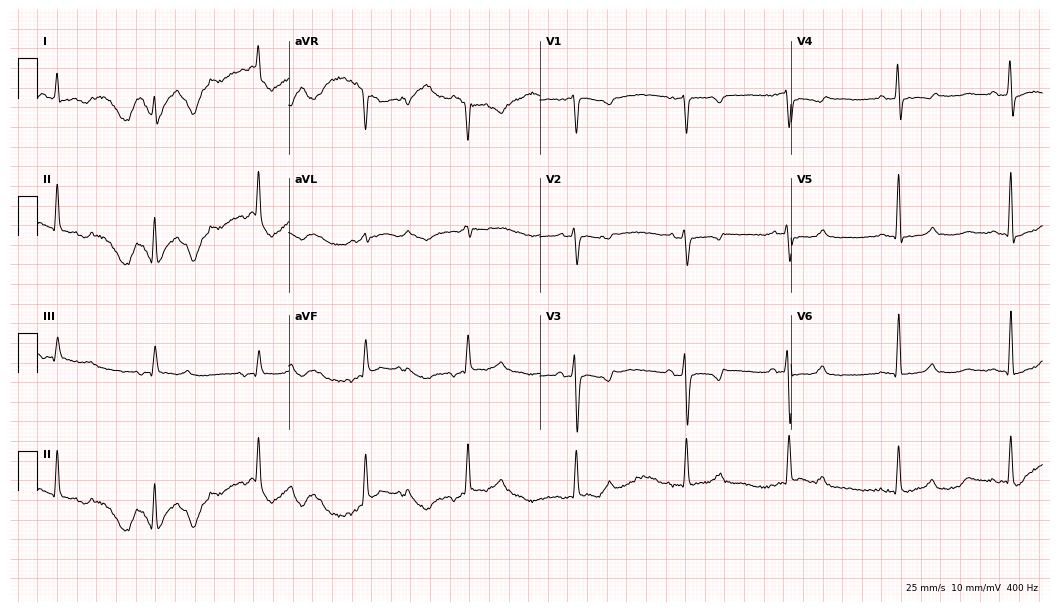
Standard 12-lead ECG recorded from a 61-year-old female. None of these six findings is recorded: first-degree AV block, right bundle branch block, left bundle branch block, sinus bradycardia, atrial fibrillation, sinus tachycardia.